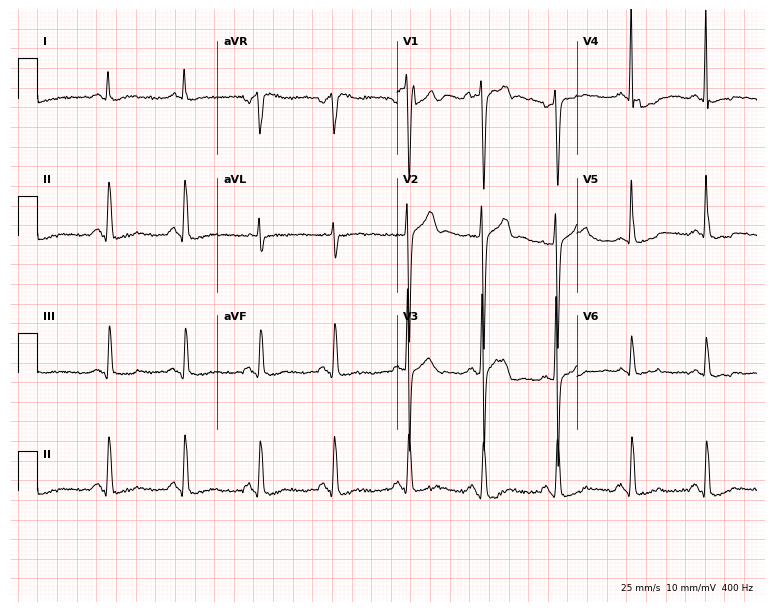
Electrocardiogram (7.3-second recording at 400 Hz), a male, 52 years old. Of the six screened findings (first-degree AV block, right bundle branch block, left bundle branch block, sinus bradycardia, atrial fibrillation, sinus tachycardia), none is recorded. Findings outside these six are not listed.